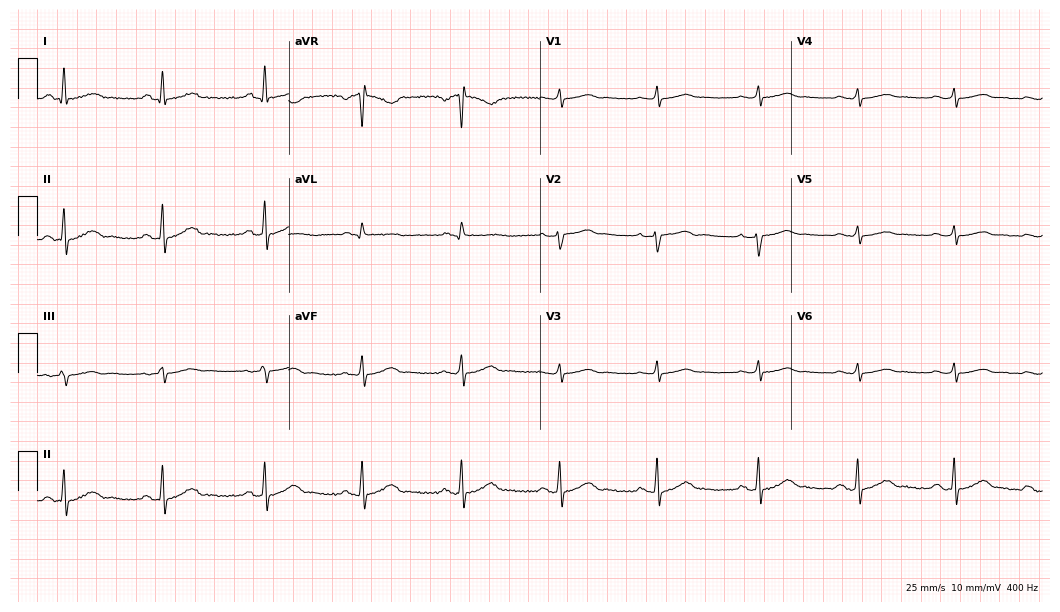
Electrocardiogram, a man, 44 years old. Overall reading on record: normal ECG.